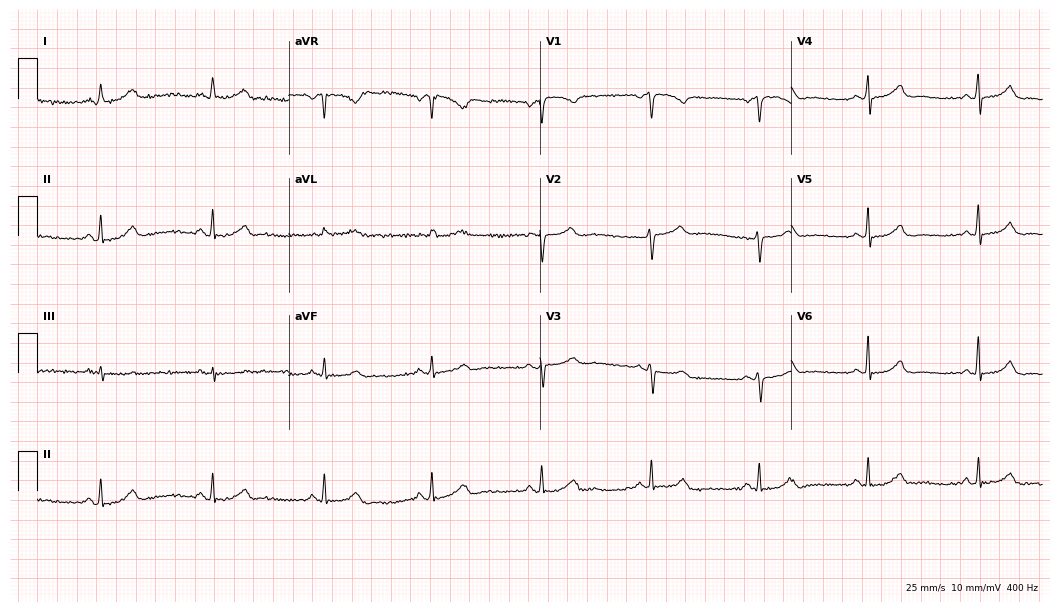
ECG — a 58-year-old female. Labelled as a normal ECG.